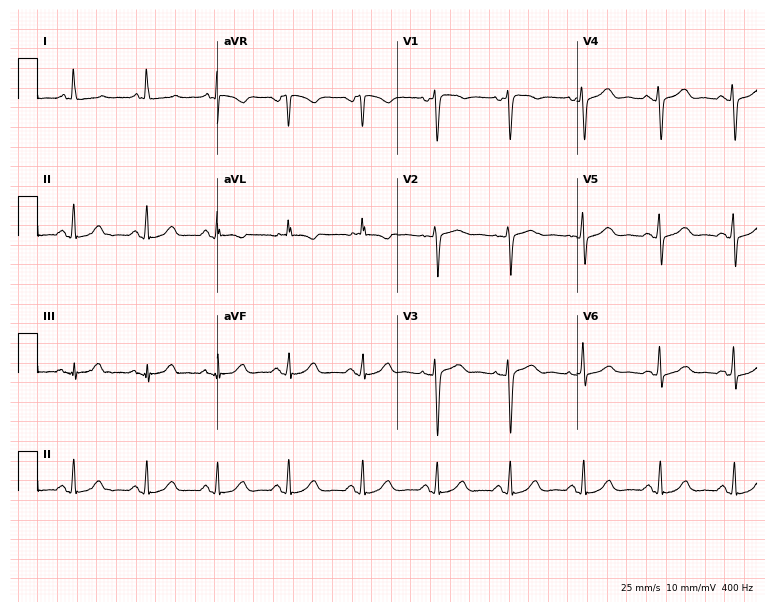
12-lead ECG from a 78-year-old female patient. No first-degree AV block, right bundle branch block (RBBB), left bundle branch block (LBBB), sinus bradycardia, atrial fibrillation (AF) or sinus tachycardia recorded for this tracing. Only these six findings were labelled.